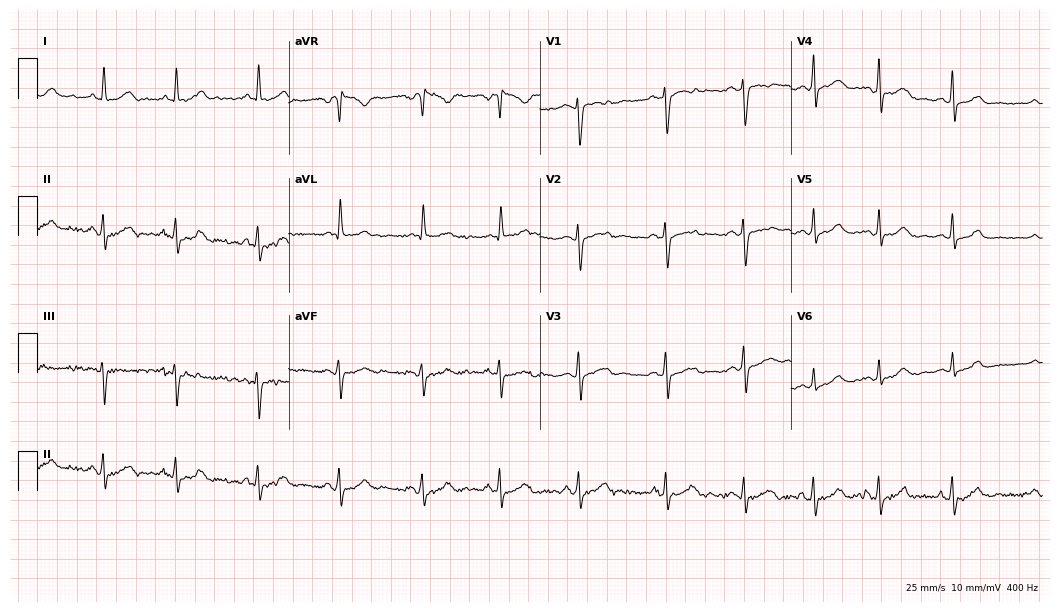
Standard 12-lead ECG recorded from a female, 43 years old. Read as a normal ECG.